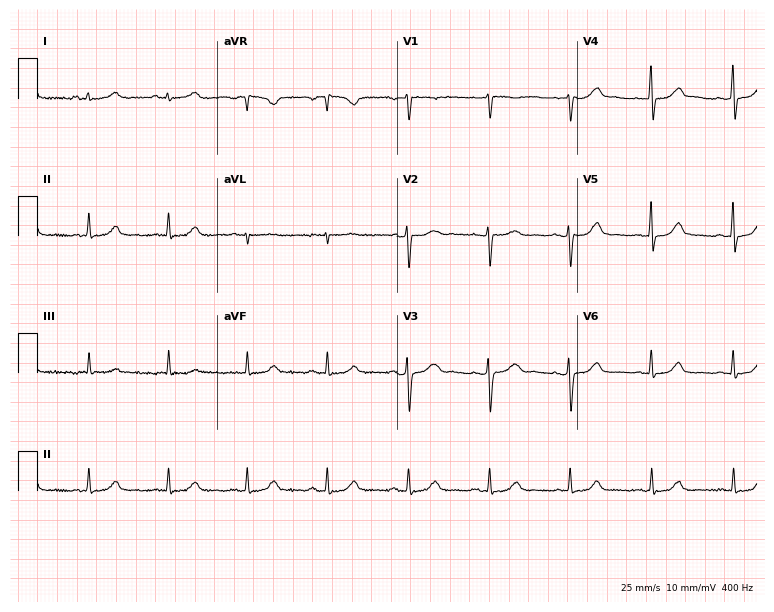
ECG (7.3-second recording at 400 Hz) — a 41-year-old female. Labelled as a normal ECG.